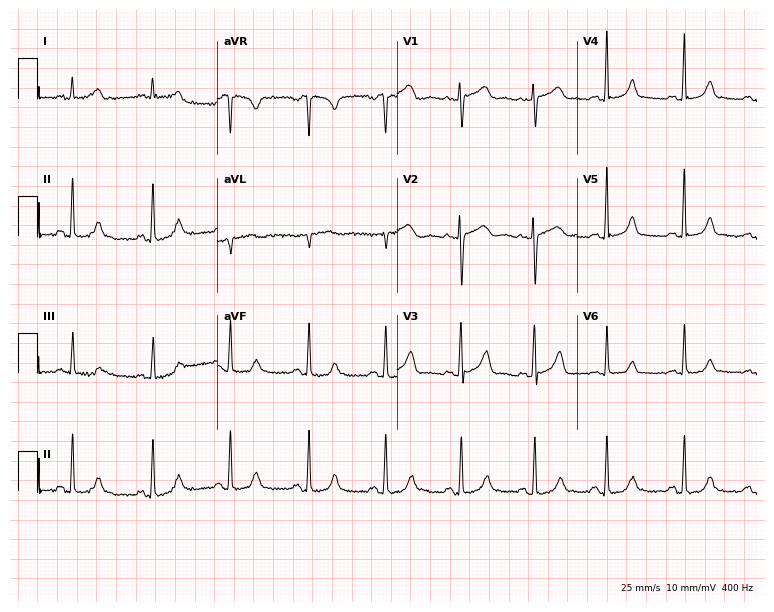
Standard 12-lead ECG recorded from a female, 46 years old (7.3-second recording at 400 Hz). None of these six findings is recorded: first-degree AV block, right bundle branch block, left bundle branch block, sinus bradycardia, atrial fibrillation, sinus tachycardia.